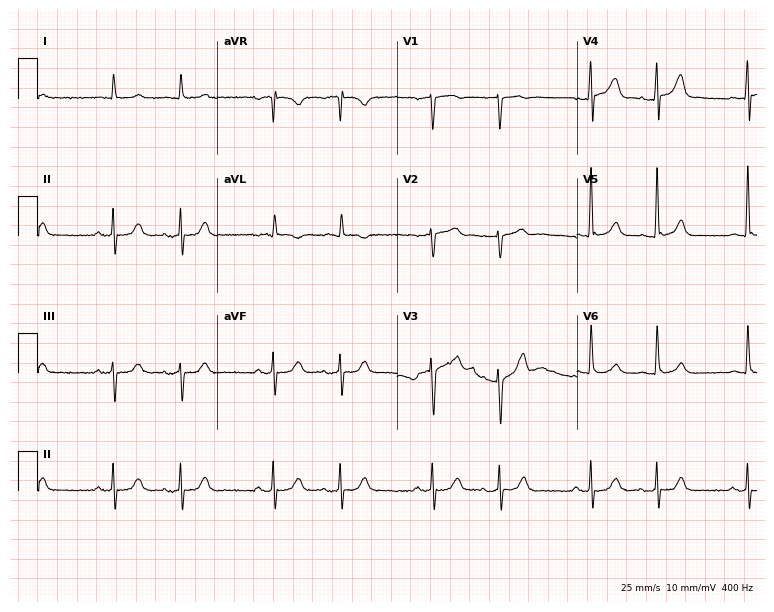
Electrocardiogram, an 88-year-old male. Of the six screened findings (first-degree AV block, right bundle branch block (RBBB), left bundle branch block (LBBB), sinus bradycardia, atrial fibrillation (AF), sinus tachycardia), none is recorded.